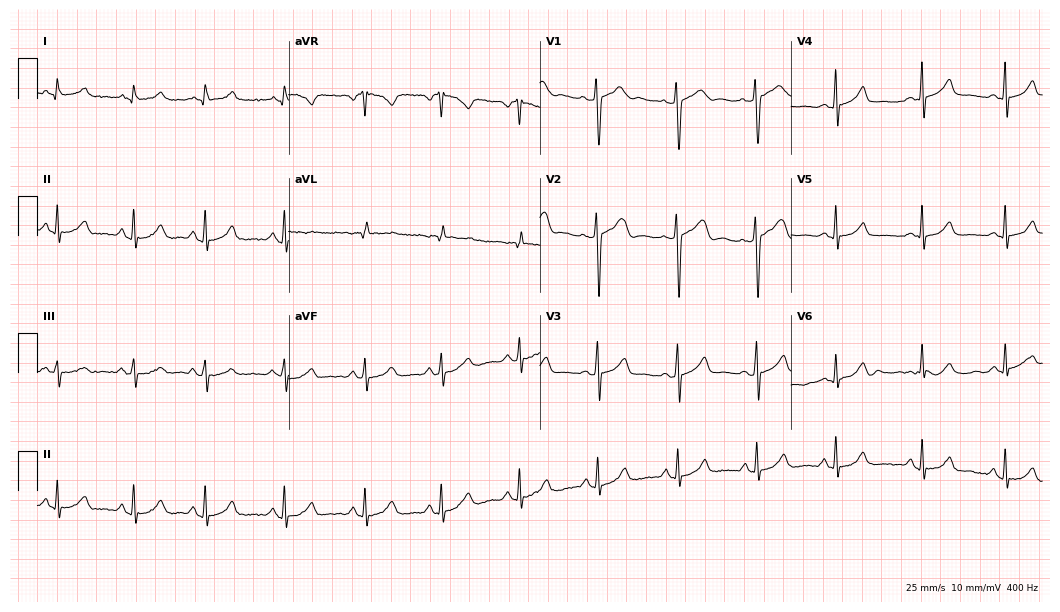
Resting 12-lead electrocardiogram. Patient: a 33-year-old female. Read as a normal ECG.